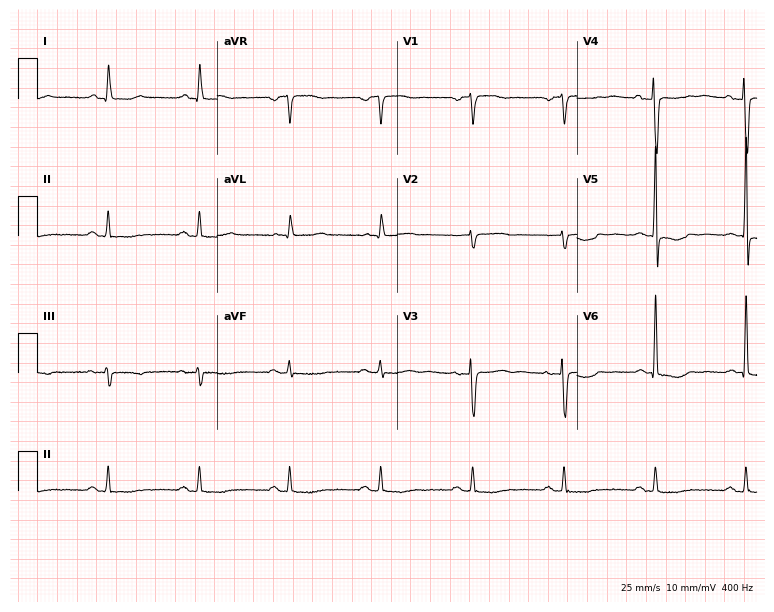
Electrocardiogram (7.3-second recording at 400 Hz), a female patient, 71 years old. Of the six screened findings (first-degree AV block, right bundle branch block, left bundle branch block, sinus bradycardia, atrial fibrillation, sinus tachycardia), none is recorded. Findings outside these six are not listed.